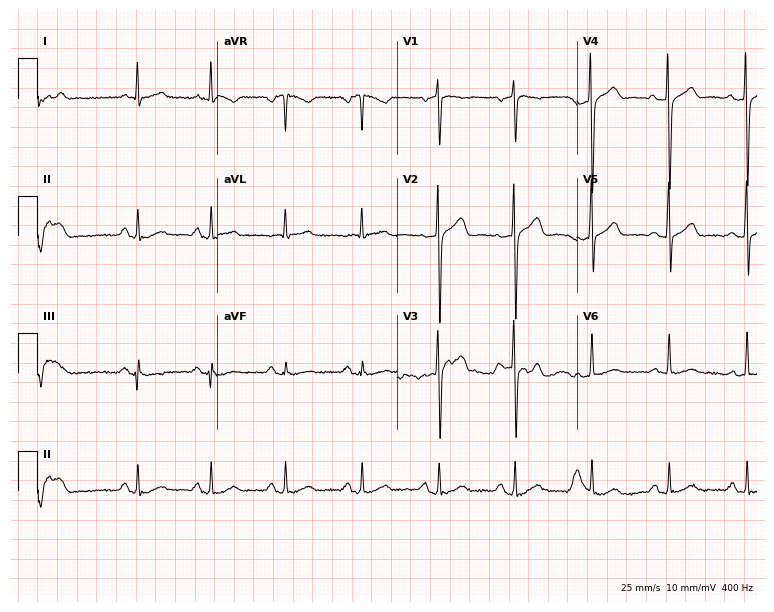
12-lead ECG from a 74-year-old man. Screened for six findings — first-degree AV block, right bundle branch block, left bundle branch block, sinus bradycardia, atrial fibrillation, sinus tachycardia — none is recorded. Findings outside these six are not listed.